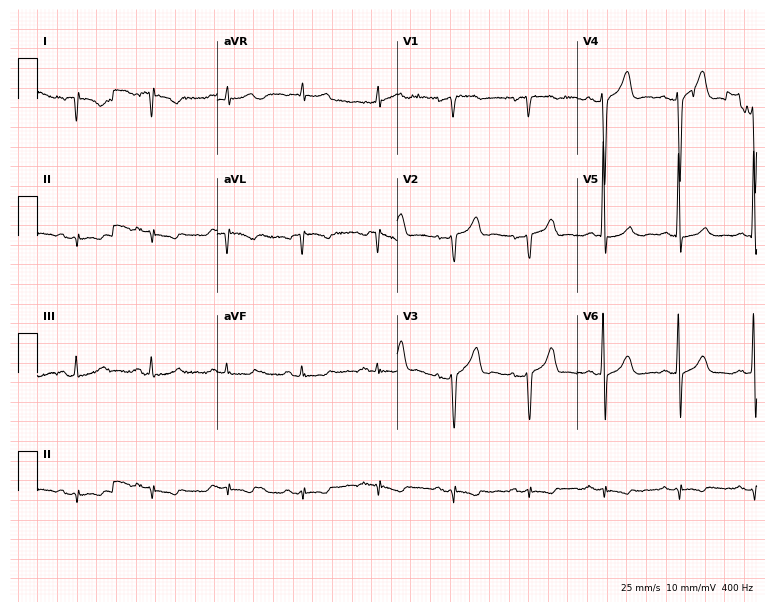
Standard 12-lead ECG recorded from an 84-year-old male patient. None of these six findings is recorded: first-degree AV block, right bundle branch block (RBBB), left bundle branch block (LBBB), sinus bradycardia, atrial fibrillation (AF), sinus tachycardia.